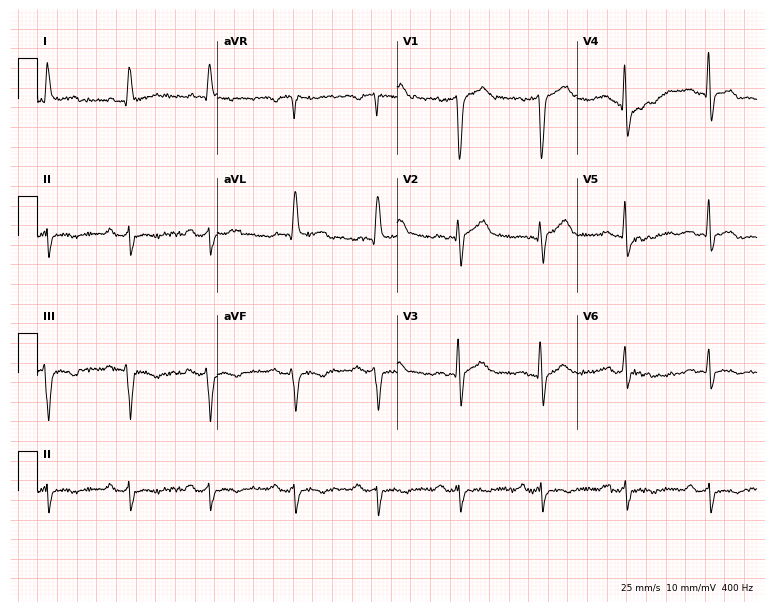
12-lead ECG from a 69-year-old male patient. Screened for six findings — first-degree AV block, right bundle branch block, left bundle branch block, sinus bradycardia, atrial fibrillation, sinus tachycardia — none is recorded.